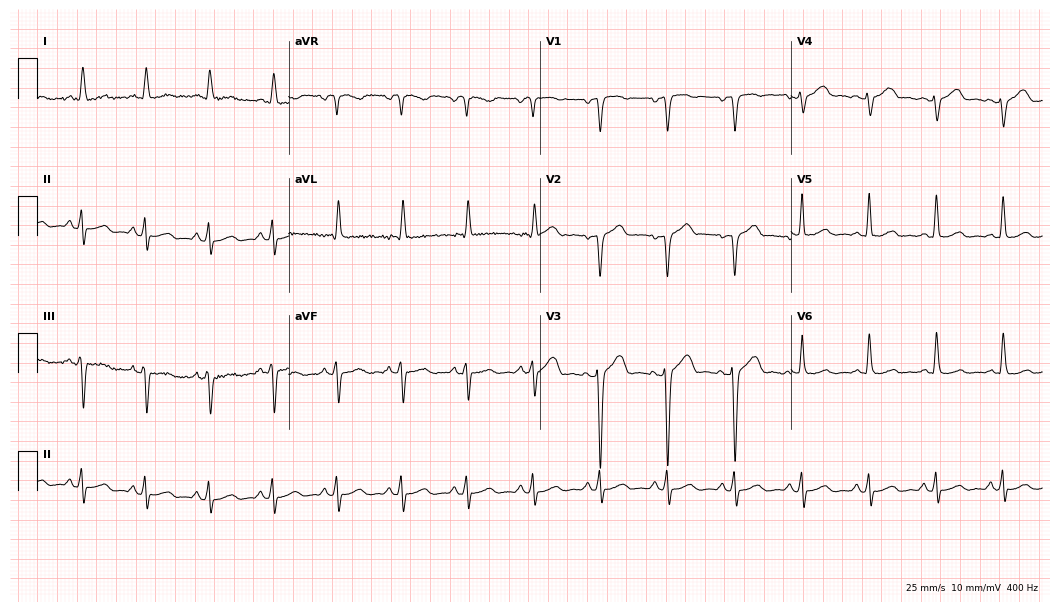
12-lead ECG (10.2-second recording at 400 Hz) from a 46-year-old male patient. Labelled as a normal ECG.